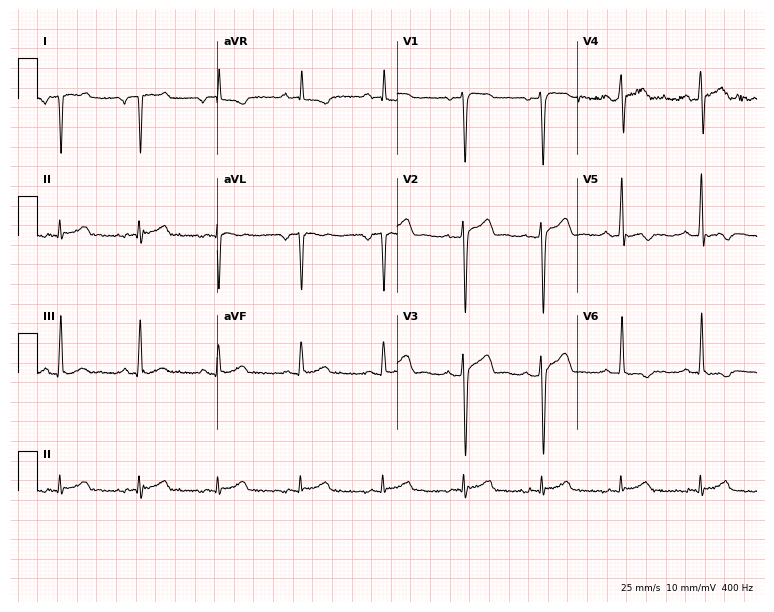
12-lead ECG from a 29-year-old male patient. No first-degree AV block, right bundle branch block, left bundle branch block, sinus bradycardia, atrial fibrillation or sinus tachycardia recorded for this tracing.